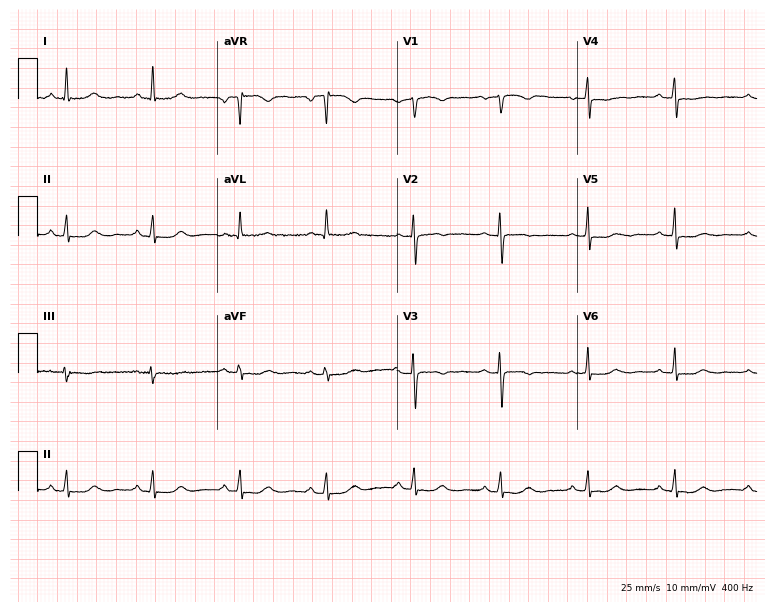
ECG — a woman, 60 years old. Labelled as a normal ECG.